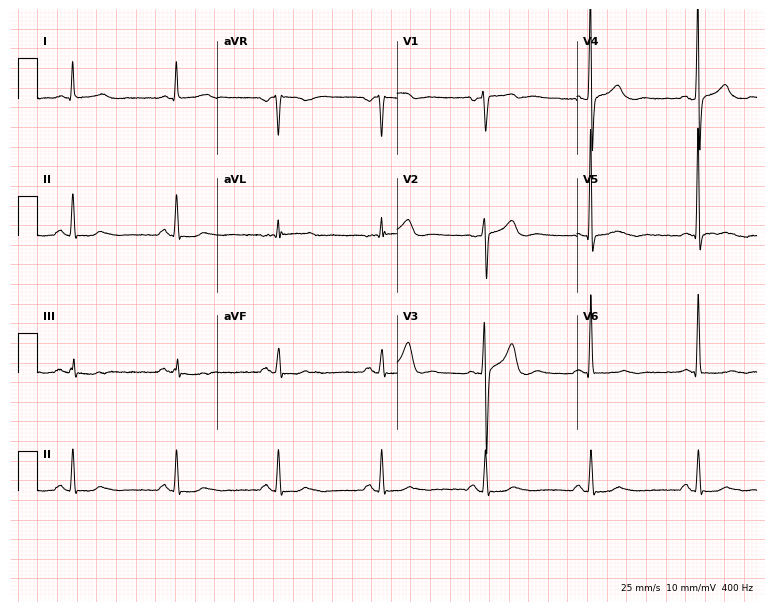
Electrocardiogram, a 63-year-old male patient. Of the six screened findings (first-degree AV block, right bundle branch block, left bundle branch block, sinus bradycardia, atrial fibrillation, sinus tachycardia), none is recorded. Only these six findings were labelled.